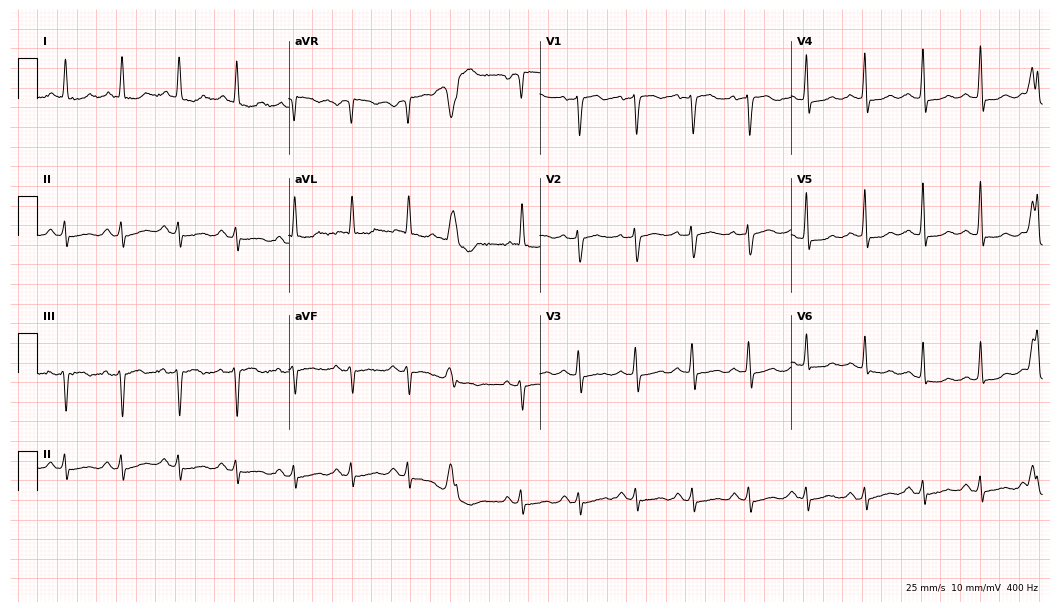
Resting 12-lead electrocardiogram (10.2-second recording at 400 Hz). Patient: a 72-year-old female. The tracing shows sinus tachycardia (a sinus rate of 100 beats per minute or more).